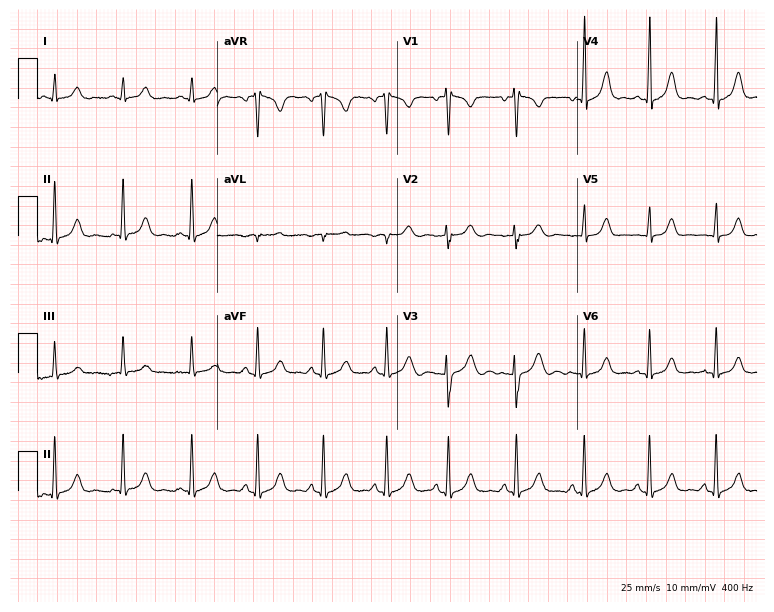
12-lead ECG (7.3-second recording at 400 Hz) from a 26-year-old female patient. Screened for six findings — first-degree AV block, right bundle branch block (RBBB), left bundle branch block (LBBB), sinus bradycardia, atrial fibrillation (AF), sinus tachycardia — none is recorded.